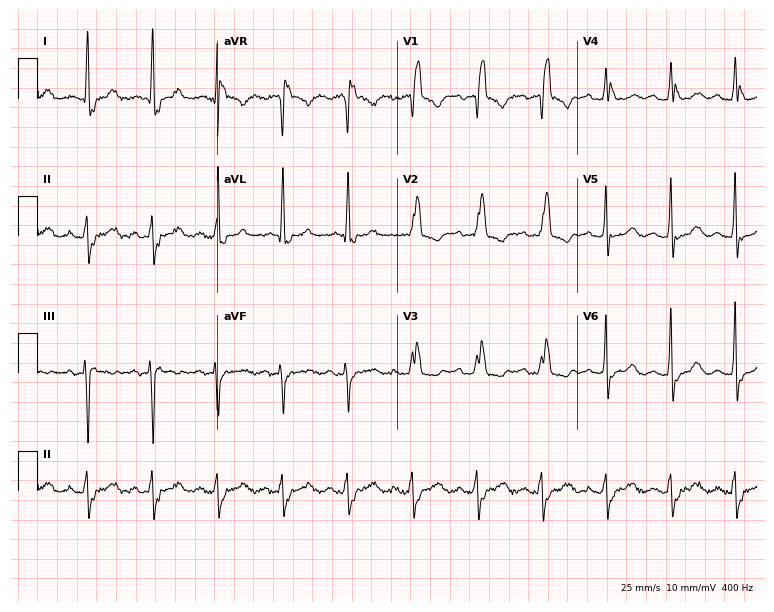
Resting 12-lead electrocardiogram (7.3-second recording at 400 Hz). Patient: a 70-year-old woman. The tracing shows right bundle branch block.